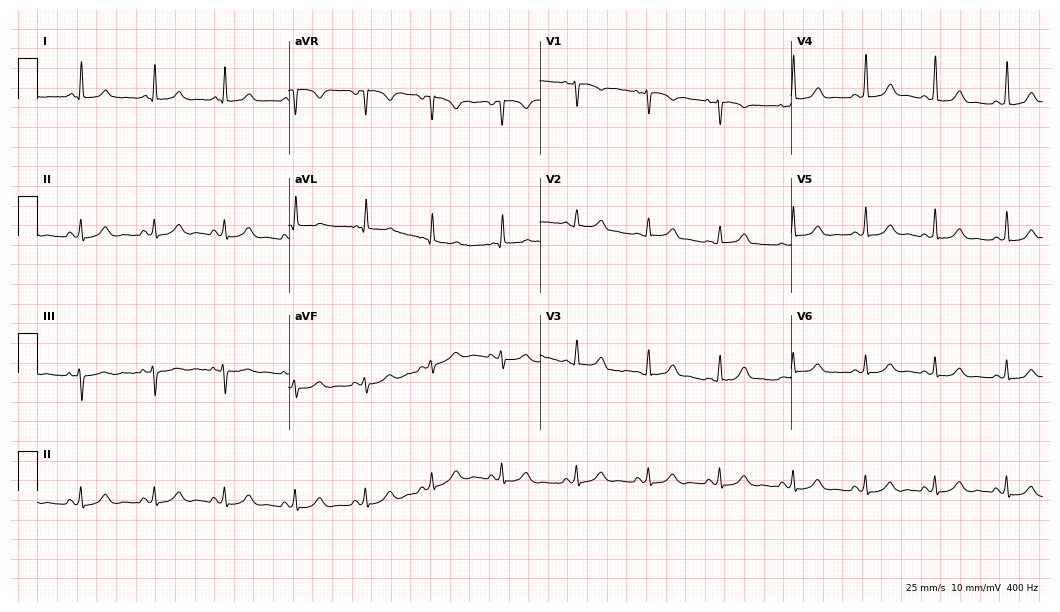
12-lead ECG from a female patient, 27 years old. Labelled as a normal ECG.